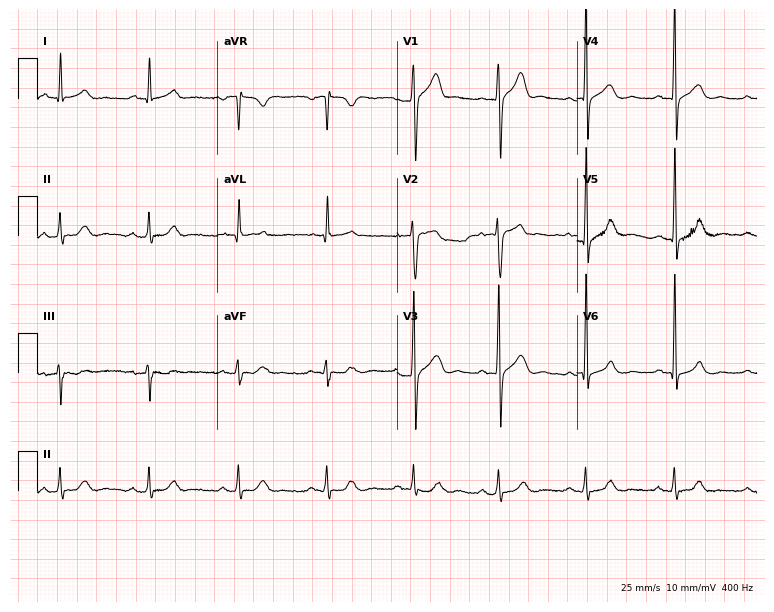
12-lead ECG from a male patient, 49 years old (7.3-second recording at 400 Hz). No first-degree AV block, right bundle branch block (RBBB), left bundle branch block (LBBB), sinus bradycardia, atrial fibrillation (AF) or sinus tachycardia recorded for this tracing.